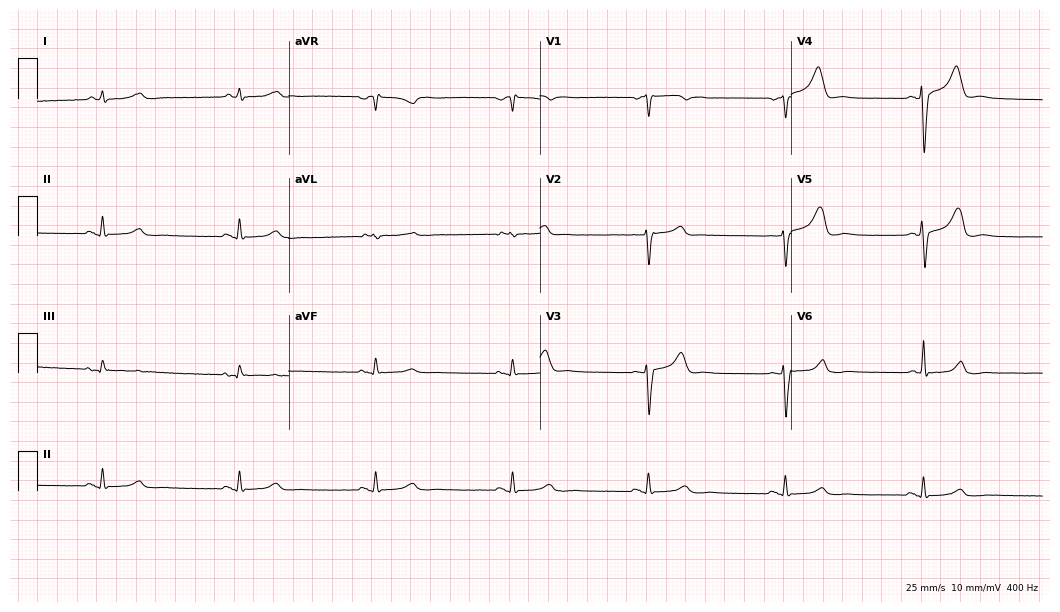
ECG (10.2-second recording at 400 Hz) — a 70-year-old woman. Screened for six findings — first-degree AV block, right bundle branch block, left bundle branch block, sinus bradycardia, atrial fibrillation, sinus tachycardia — none is recorded.